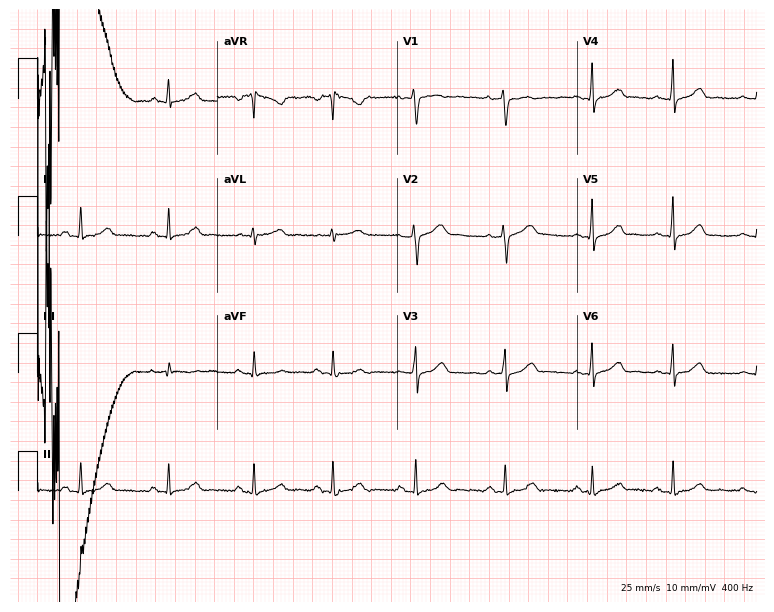
12-lead ECG from a 40-year-old woman. Labelled as a normal ECG.